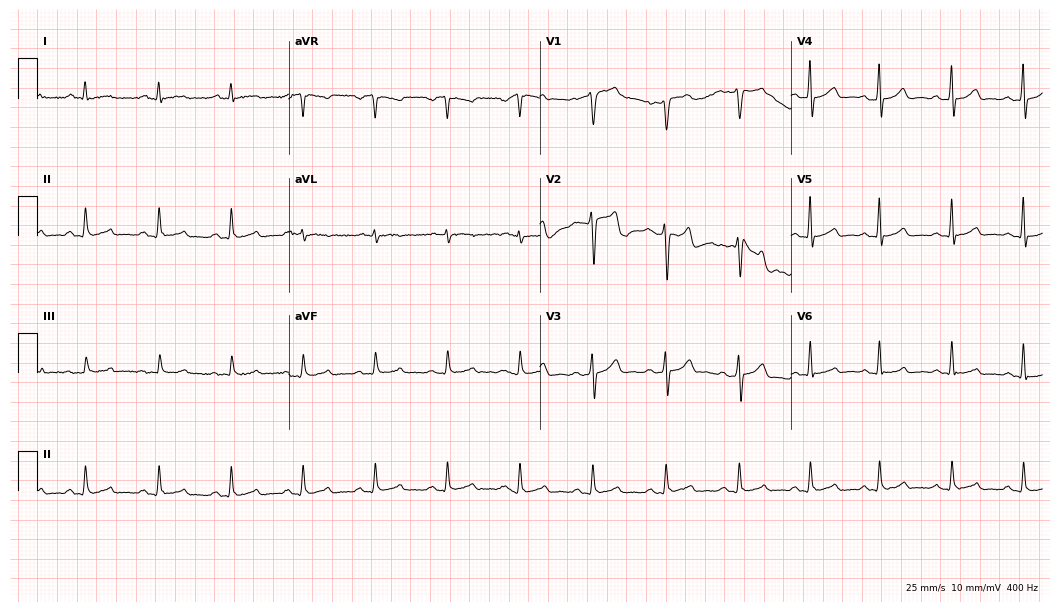
Resting 12-lead electrocardiogram. Patient: a 54-year-old male. None of these six findings is recorded: first-degree AV block, right bundle branch block, left bundle branch block, sinus bradycardia, atrial fibrillation, sinus tachycardia. Other findings, if any, are not listed.